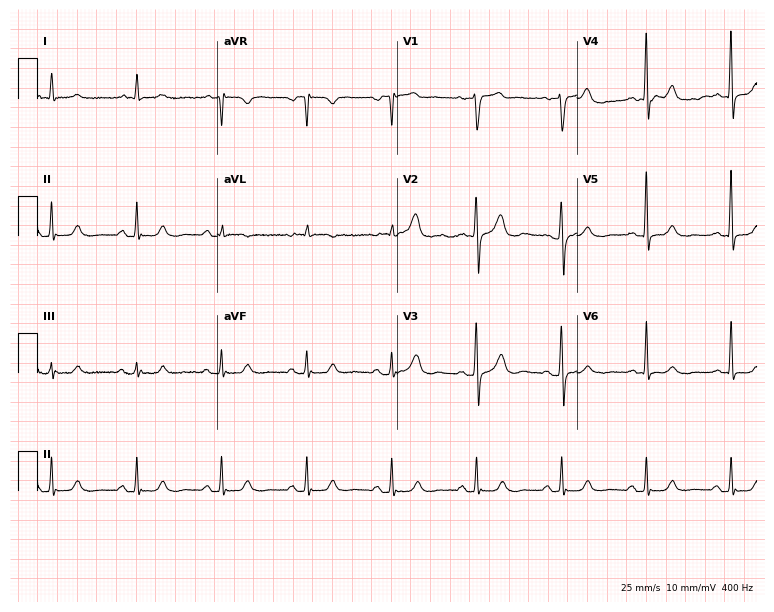
ECG — a male, 78 years old. Screened for six findings — first-degree AV block, right bundle branch block, left bundle branch block, sinus bradycardia, atrial fibrillation, sinus tachycardia — none is recorded.